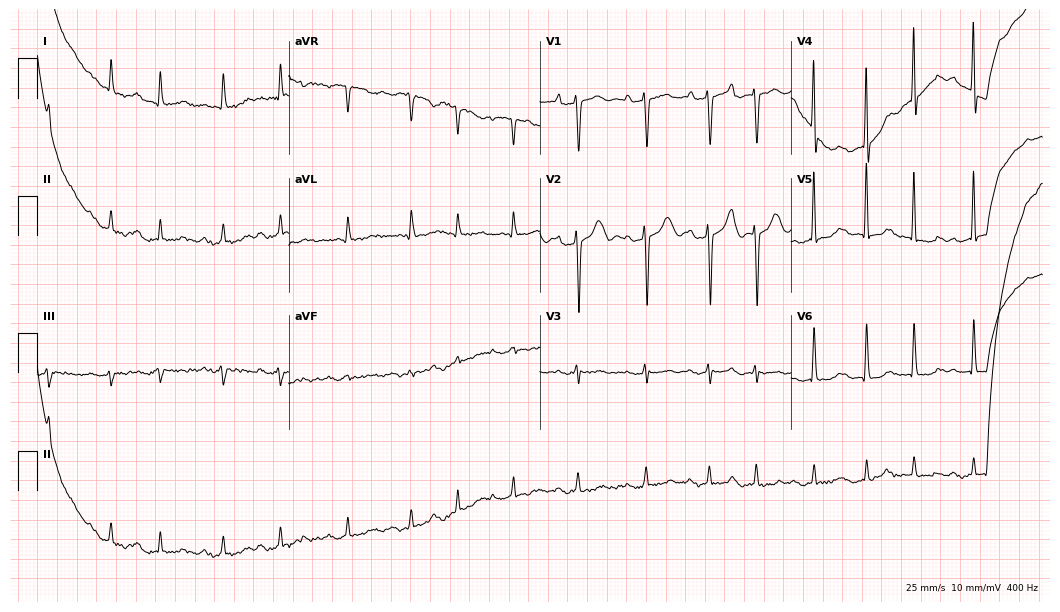
ECG (10.2-second recording at 400 Hz) — an 82-year-old man. Screened for six findings — first-degree AV block, right bundle branch block (RBBB), left bundle branch block (LBBB), sinus bradycardia, atrial fibrillation (AF), sinus tachycardia — none is recorded.